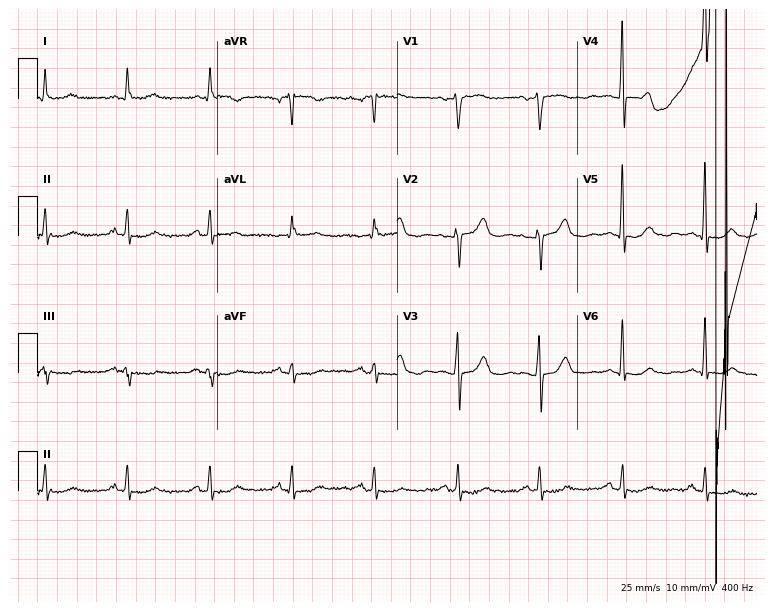
ECG (7.3-second recording at 400 Hz) — a male patient, 74 years old. Labelled as a normal ECG.